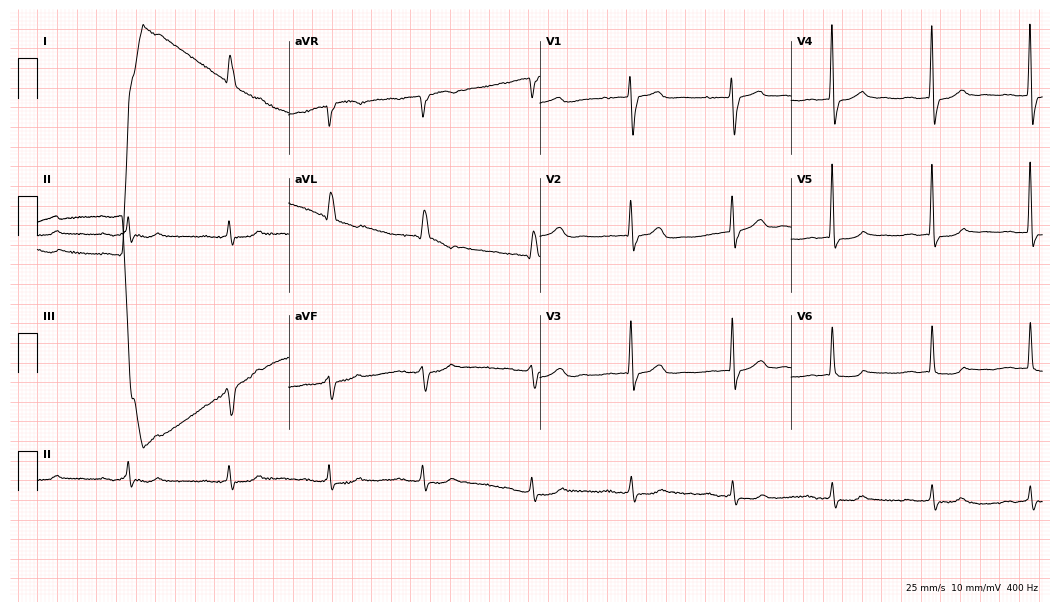
Resting 12-lead electrocardiogram (10.2-second recording at 400 Hz). Patient: a female, 83 years old. None of these six findings is recorded: first-degree AV block, right bundle branch block (RBBB), left bundle branch block (LBBB), sinus bradycardia, atrial fibrillation (AF), sinus tachycardia. Other findings, if any, are not listed.